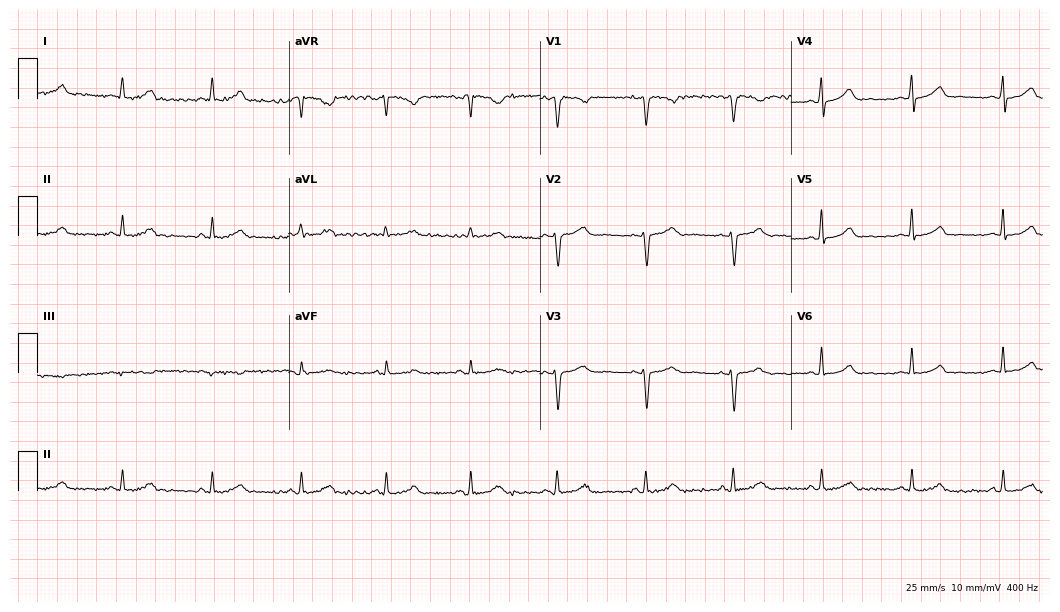
Standard 12-lead ECG recorded from a 43-year-old female patient. Read as a normal ECG.